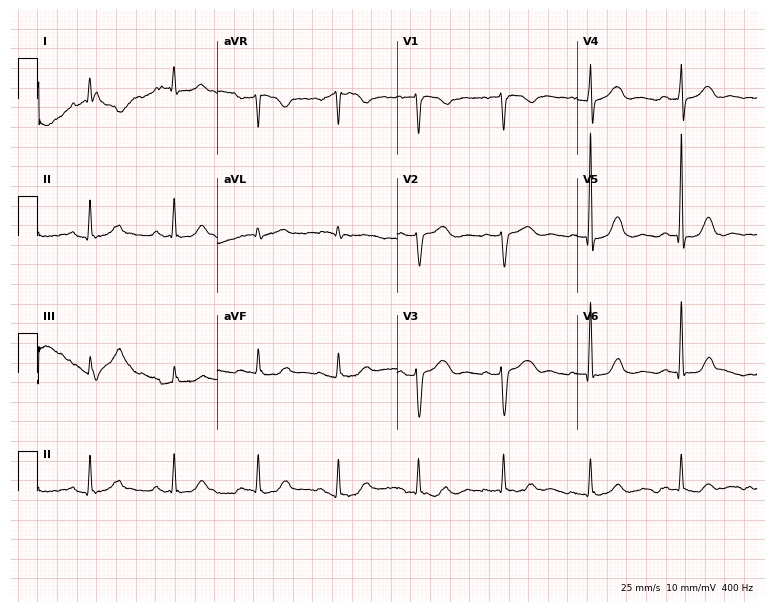
Electrocardiogram (7.3-second recording at 400 Hz), a 68-year-old female. Of the six screened findings (first-degree AV block, right bundle branch block (RBBB), left bundle branch block (LBBB), sinus bradycardia, atrial fibrillation (AF), sinus tachycardia), none is recorded. Findings outside these six are not listed.